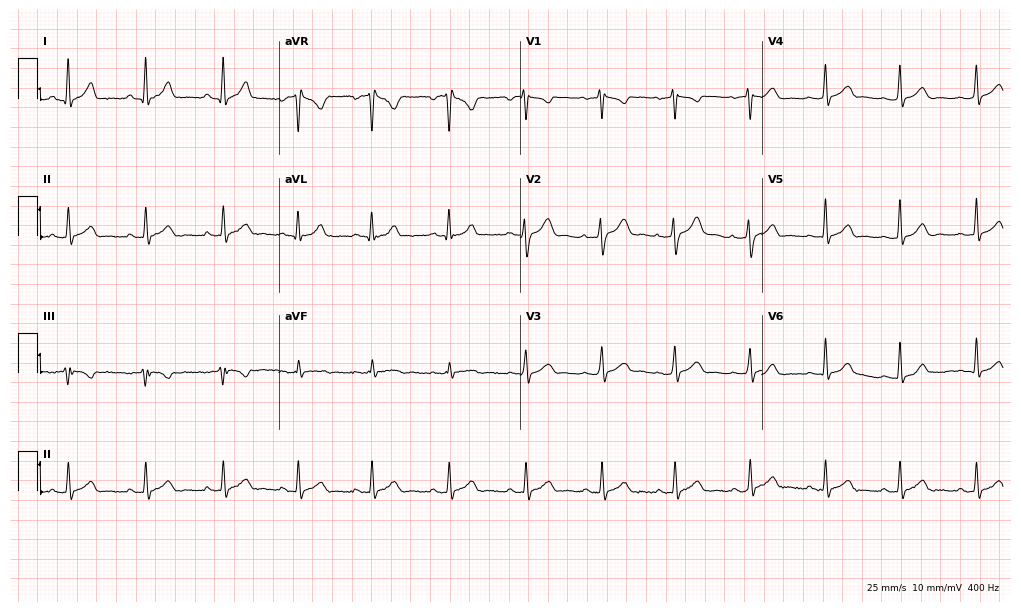
Electrocardiogram, a female patient, 21 years old. Overall reading on record: normal ECG.